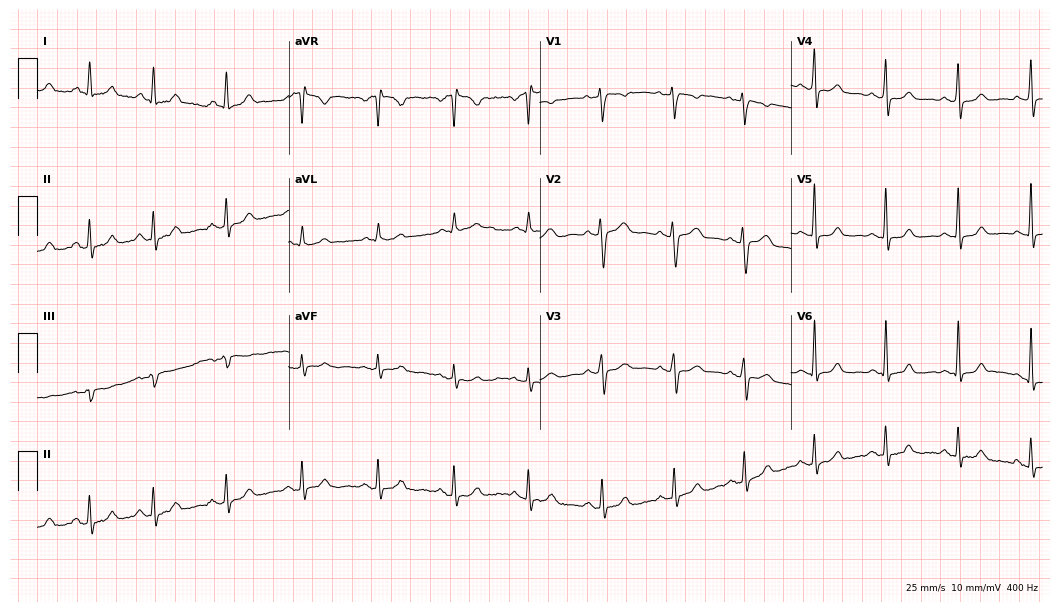
12-lead ECG (10.2-second recording at 400 Hz) from a 36-year-old female patient. Labelled as a normal ECG.